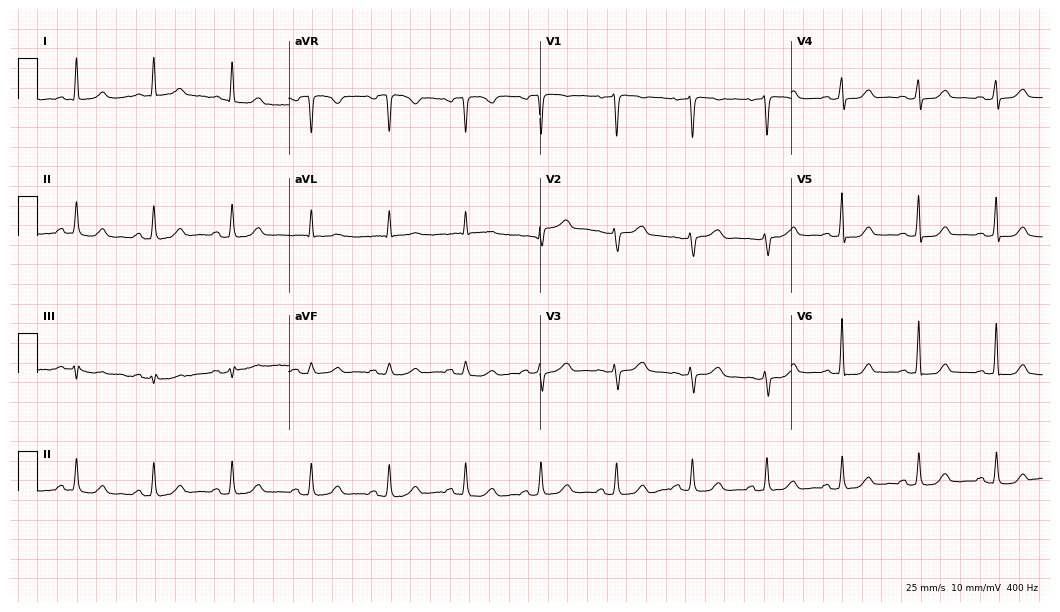
Standard 12-lead ECG recorded from a 51-year-old woman. Read as a normal ECG.